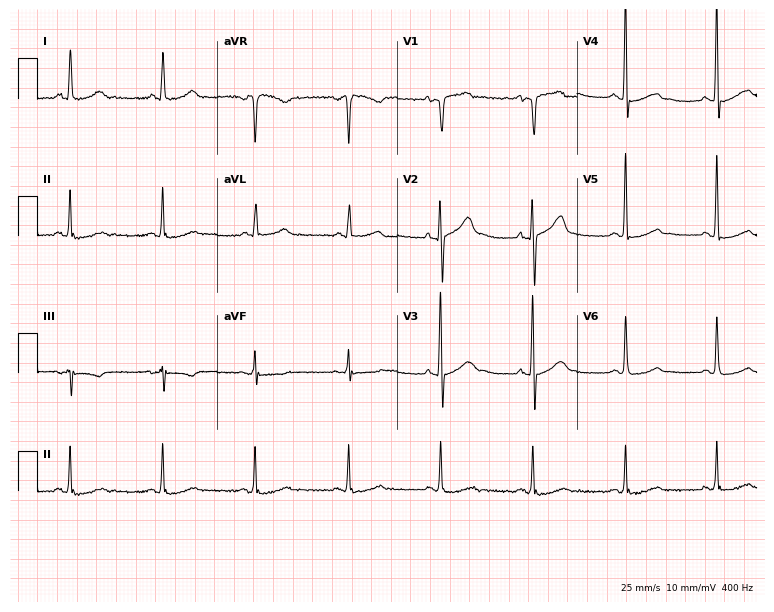
12-lead ECG from a male patient, 64 years old. Labelled as a normal ECG.